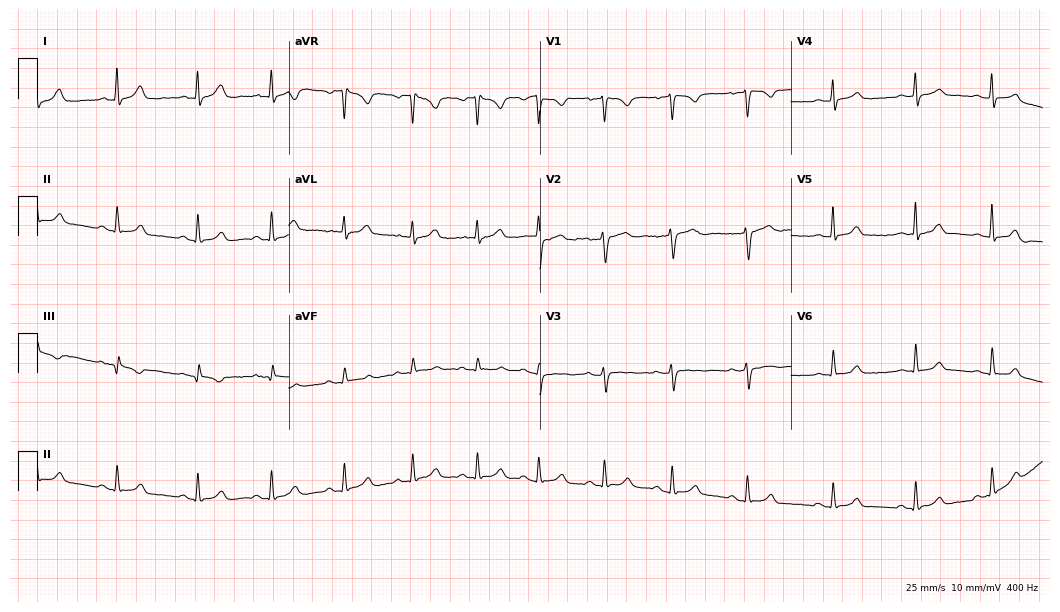
12-lead ECG from a female patient, 26 years old. Recorded interpretation: within normal limits.